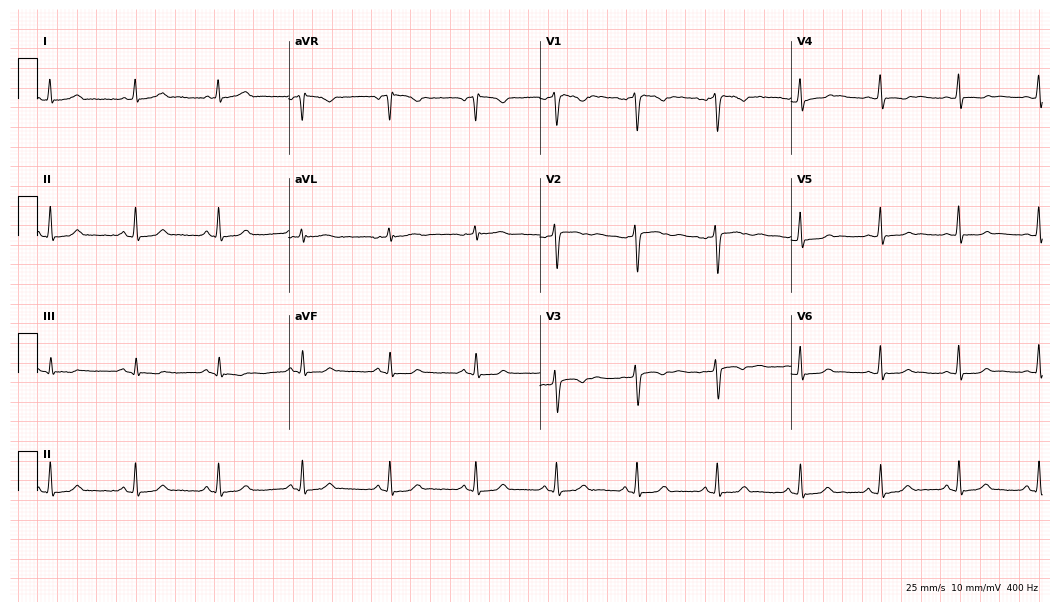
ECG (10.2-second recording at 400 Hz) — a female, 18 years old. Labelled as a normal ECG.